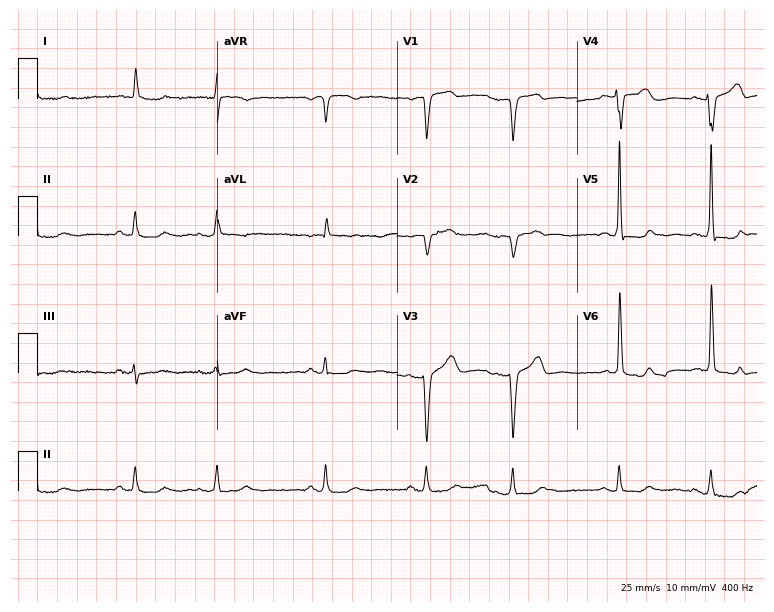
12-lead ECG from a male patient, 80 years old. No first-degree AV block, right bundle branch block, left bundle branch block, sinus bradycardia, atrial fibrillation or sinus tachycardia recorded for this tracing. Findings outside these six are not listed.